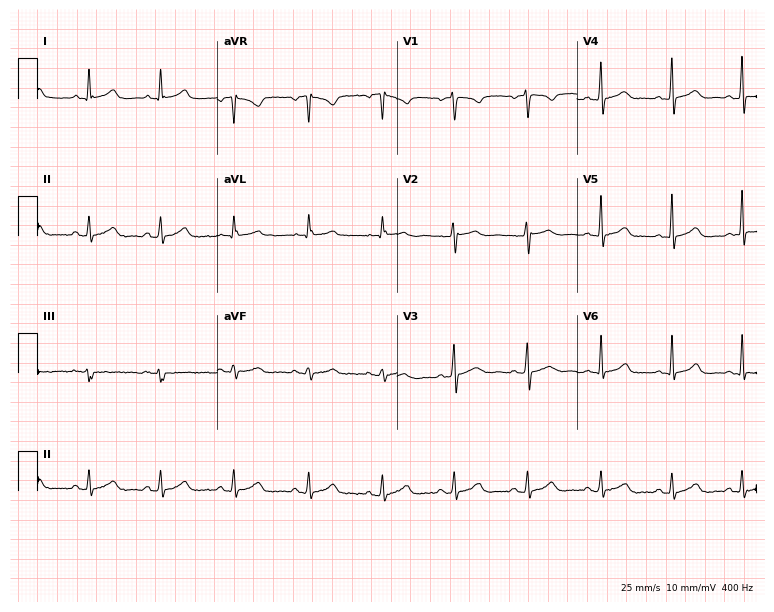
Resting 12-lead electrocardiogram. Patient: a female, 33 years old. None of these six findings is recorded: first-degree AV block, right bundle branch block, left bundle branch block, sinus bradycardia, atrial fibrillation, sinus tachycardia. Findings outside these six are not listed.